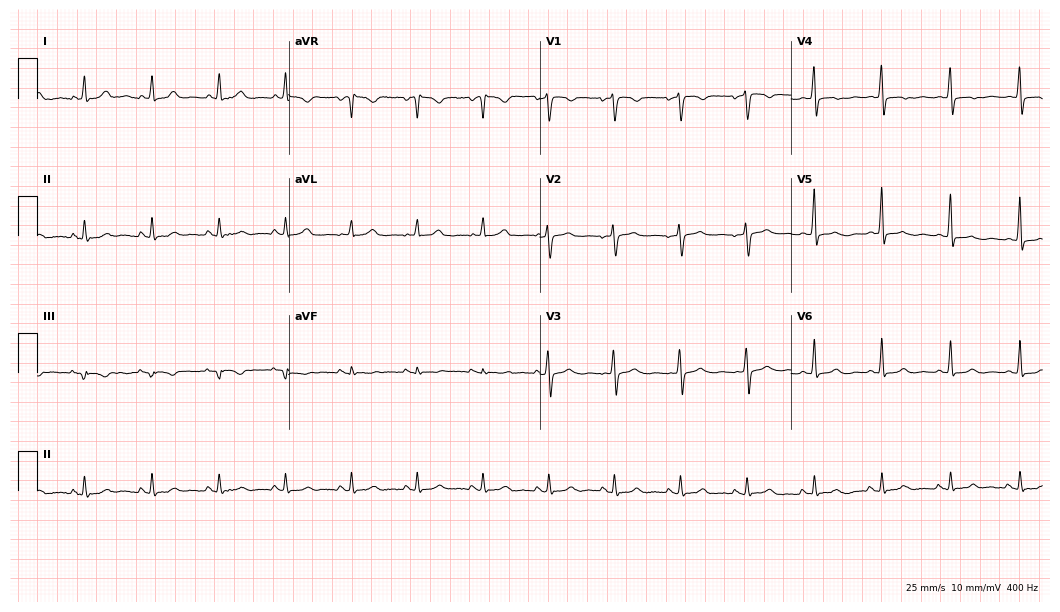
ECG — a female, 40 years old. Screened for six findings — first-degree AV block, right bundle branch block (RBBB), left bundle branch block (LBBB), sinus bradycardia, atrial fibrillation (AF), sinus tachycardia — none is recorded. Other findings, if any, are not listed.